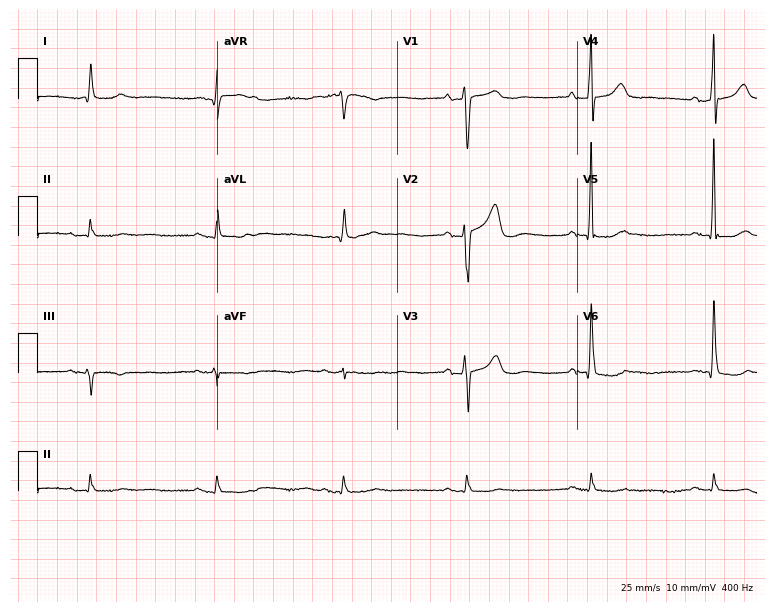
12-lead ECG from a 77-year-old male patient. Screened for six findings — first-degree AV block, right bundle branch block (RBBB), left bundle branch block (LBBB), sinus bradycardia, atrial fibrillation (AF), sinus tachycardia — none is recorded. Only these six findings were labelled.